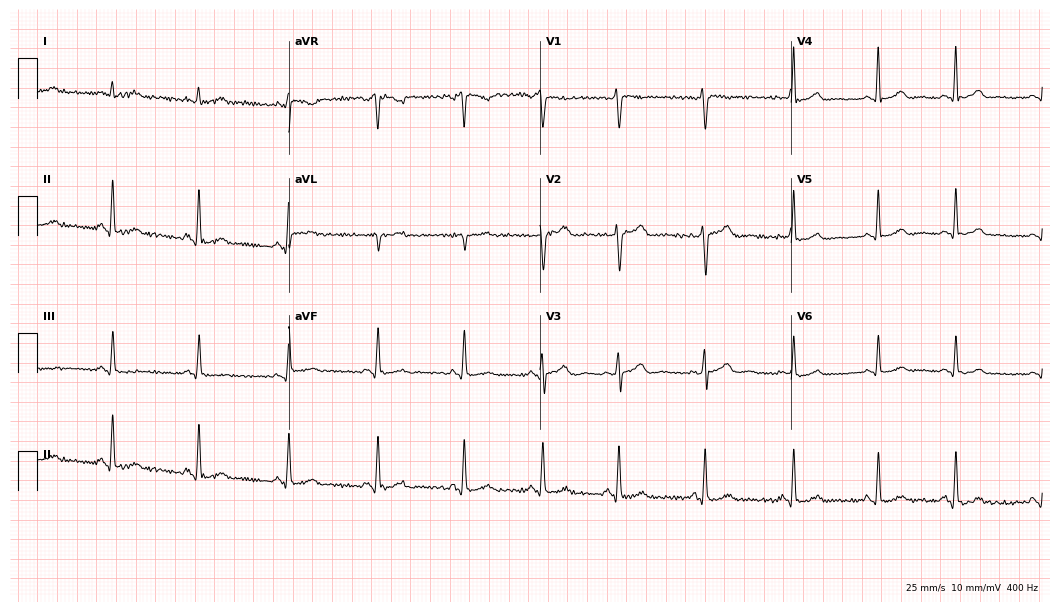
12-lead ECG from a 30-year-old female patient (10.2-second recording at 400 Hz). Recorded interpretation: within normal limits.